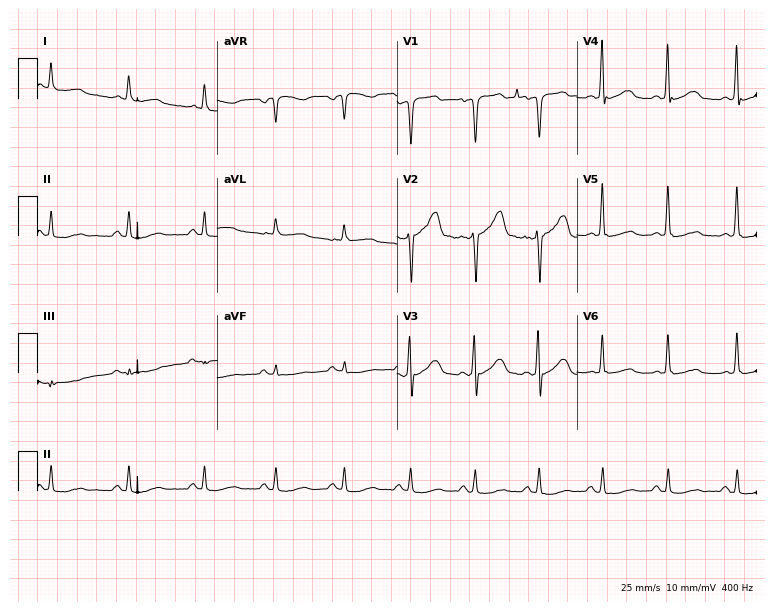
Resting 12-lead electrocardiogram. Patient: a 66-year-old man. None of these six findings is recorded: first-degree AV block, right bundle branch block, left bundle branch block, sinus bradycardia, atrial fibrillation, sinus tachycardia. Only these six findings were labelled.